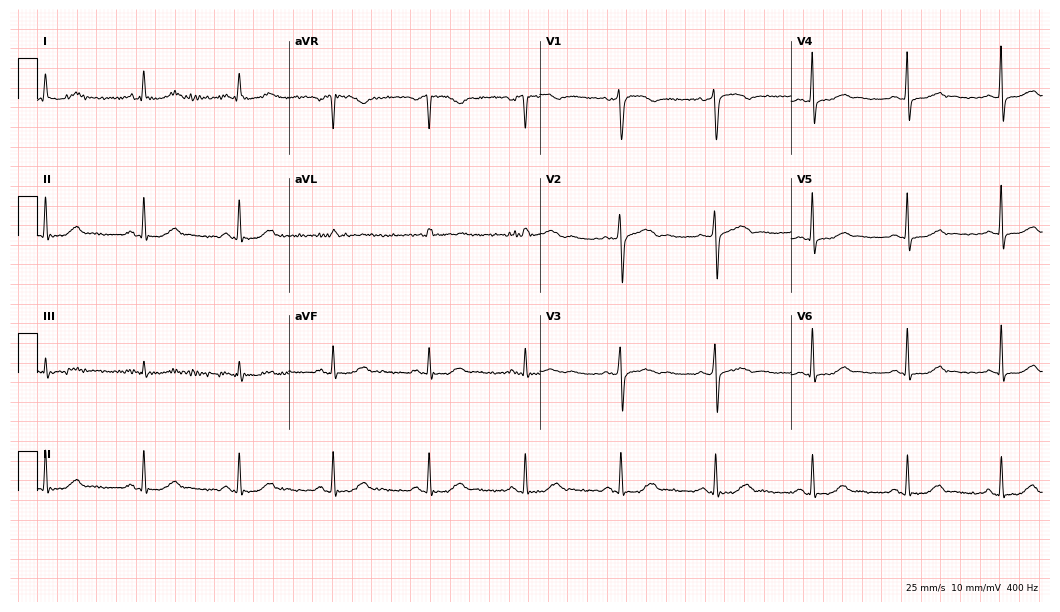
12-lead ECG from a woman, 59 years old (10.2-second recording at 400 Hz). Recorded interpretation: within normal limits.